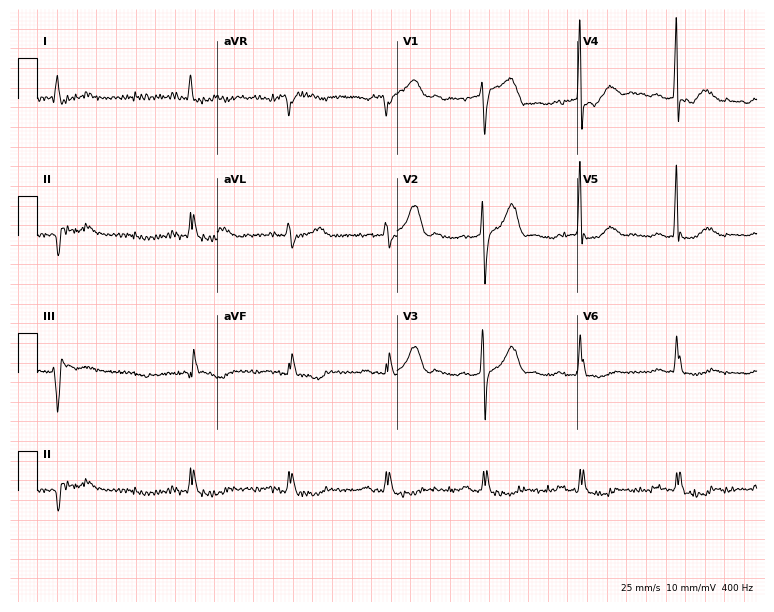
12-lead ECG from a male, 85 years old. Shows first-degree AV block.